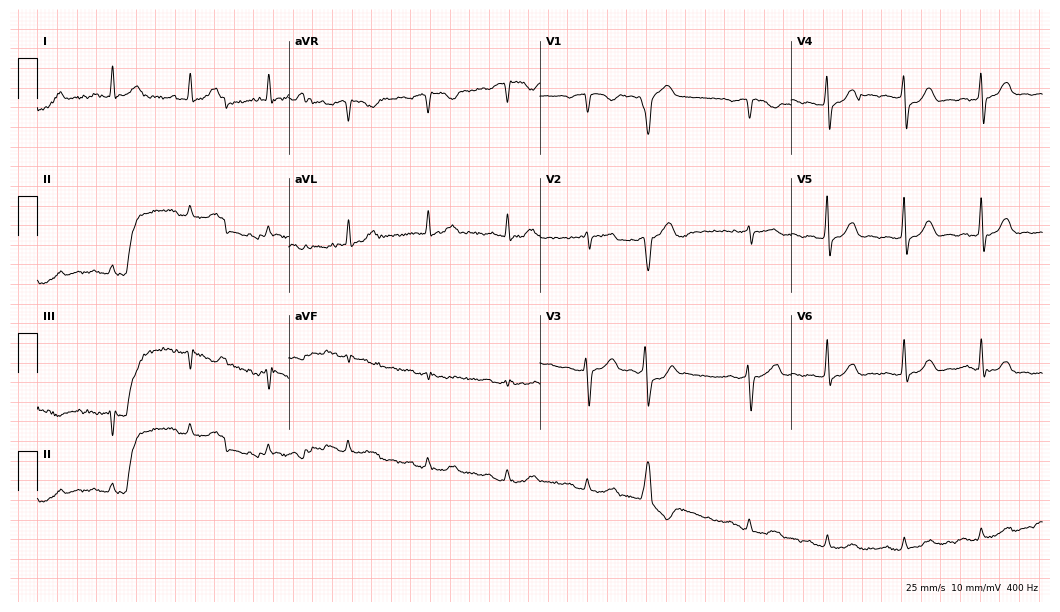
ECG — a 76-year-old man. Screened for six findings — first-degree AV block, right bundle branch block, left bundle branch block, sinus bradycardia, atrial fibrillation, sinus tachycardia — none is recorded.